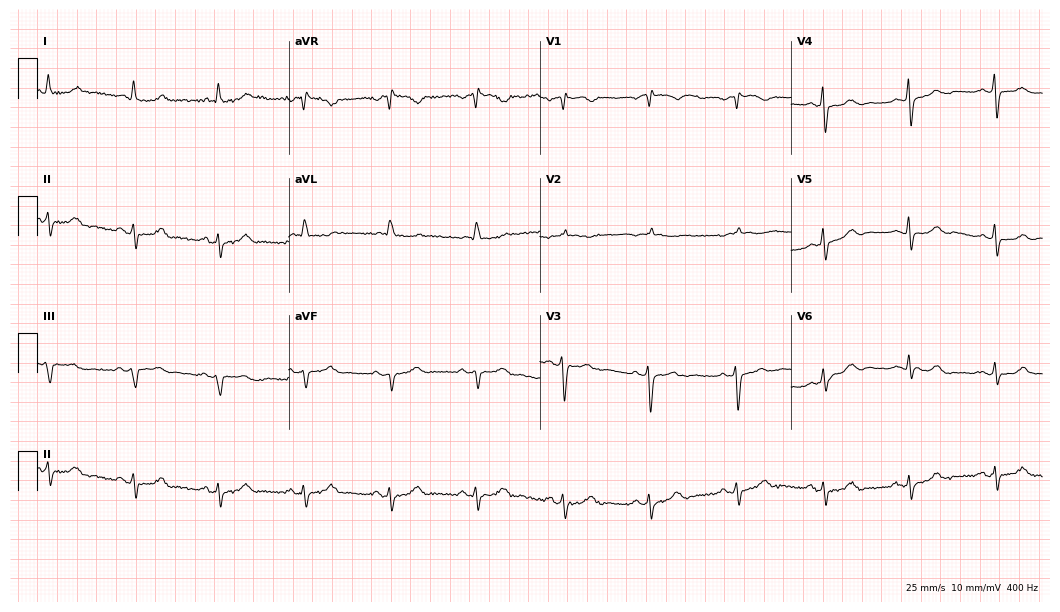
Standard 12-lead ECG recorded from a 75-year-old female patient (10.2-second recording at 400 Hz). None of these six findings is recorded: first-degree AV block, right bundle branch block, left bundle branch block, sinus bradycardia, atrial fibrillation, sinus tachycardia. Findings outside these six are not listed.